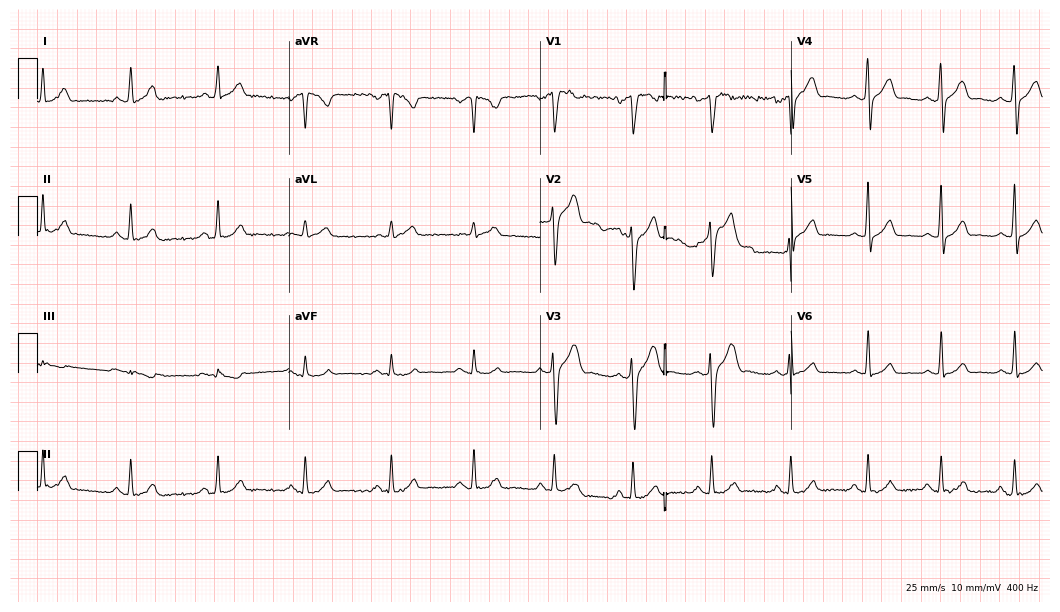
12-lead ECG from a 32-year-old male patient (10.2-second recording at 400 Hz). No first-degree AV block, right bundle branch block, left bundle branch block, sinus bradycardia, atrial fibrillation or sinus tachycardia recorded for this tracing.